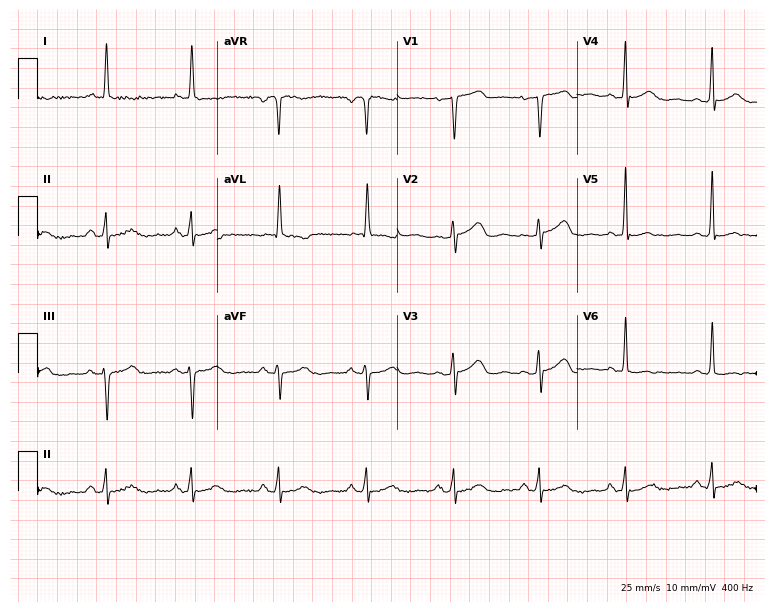
Resting 12-lead electrocardiogram. Patient: a 72-year-old female. None of these six findings is recorded: first-degree AV block, right bundle branch block (RBBB), left bundle branch block (LBBB), sinus bradycardia, atrial fibrillation (AF), sinus tachycardia.